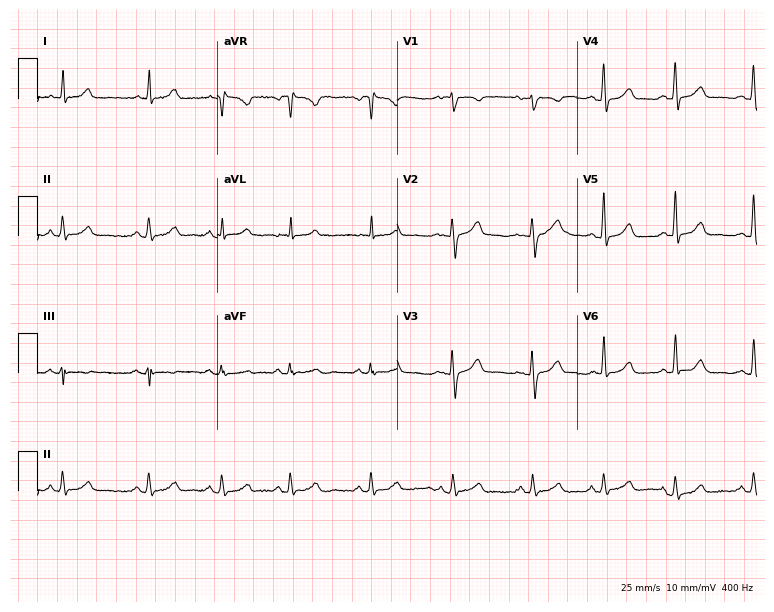
Resting 12-lead electrocardiogram (7.3-second recording at 400 Hz). Patient: a 28-year-old woman. Read as a normal ECG.